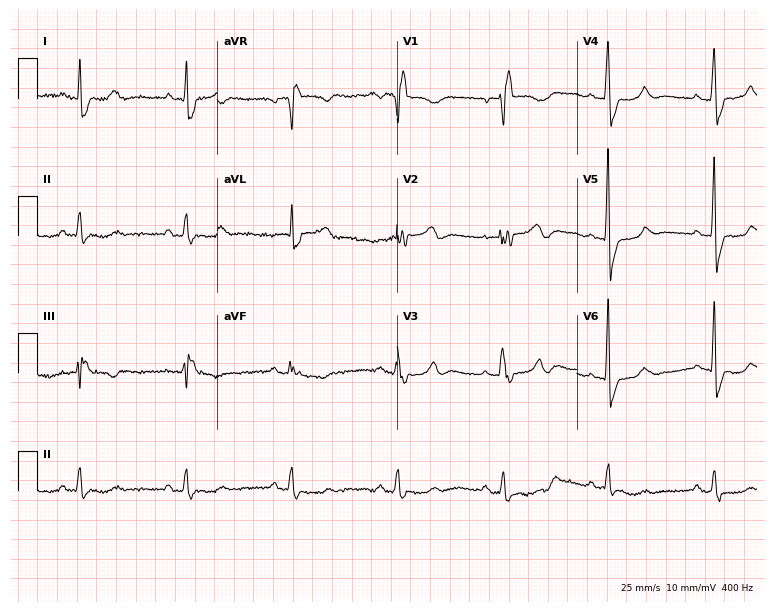
12-lead ECG (7.3-second recording at 400 Hz) from a male, 82 years old. Findings include right bundle branch block.